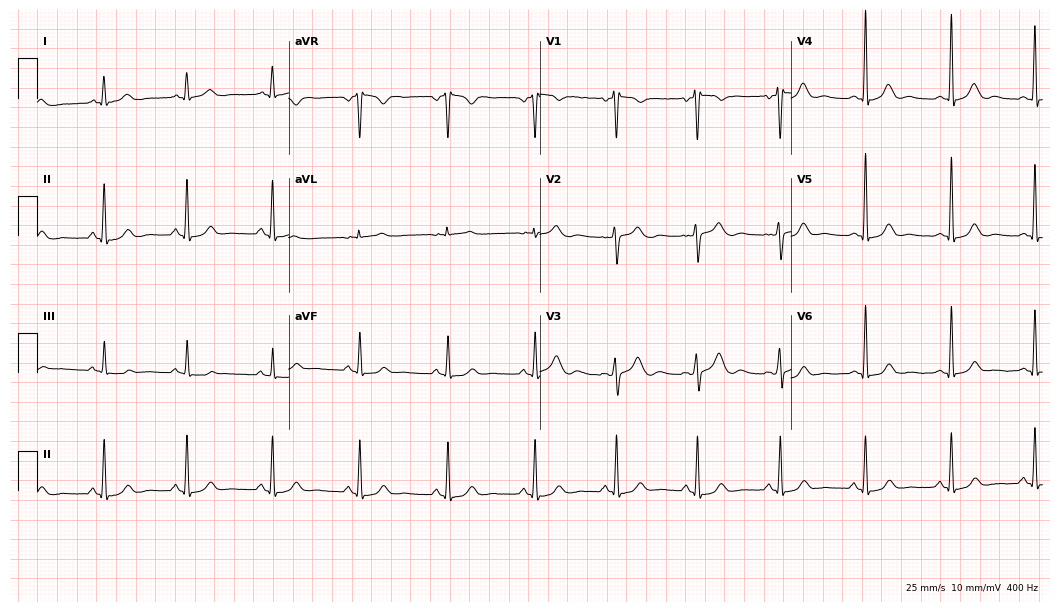
ECG (10.2-second recording at 400 Hz) — a 34-year-old female. Labelled as a normal ECG.